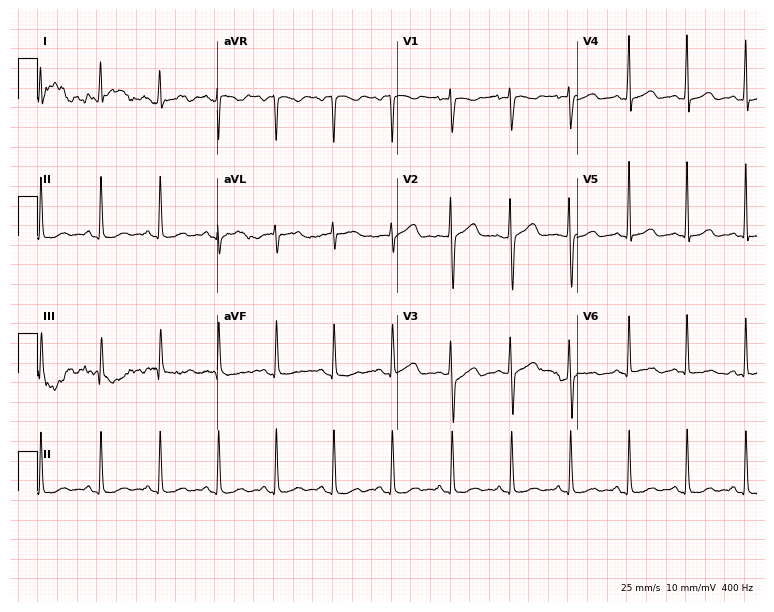
12-lead ECG from a 32-year-old woman. No first-degree AV block, right bundle branch block (RBBB), left bundle branch block (LBBB), sinus bradycardia, atrial fibrillation (AF) or sinus tachycardia recorded for this tracing. Findings outside these six are not listed.